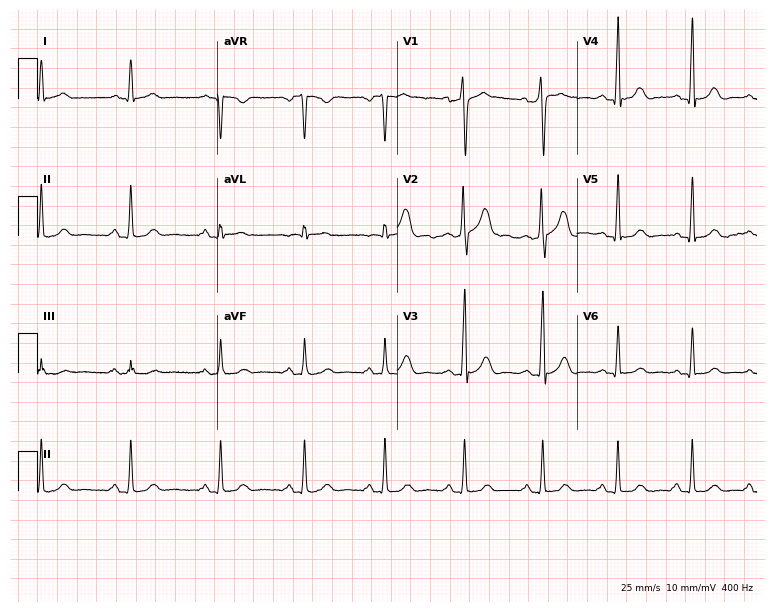
ECG — a 46-year-old male. Screened for six findings — first-degree AV block, right bundle branch block (RBBB), left bundle branch block (LBBB), sinus bradycardia, atrial fibrillation (AF), sinus tachycardia — none is recorded.